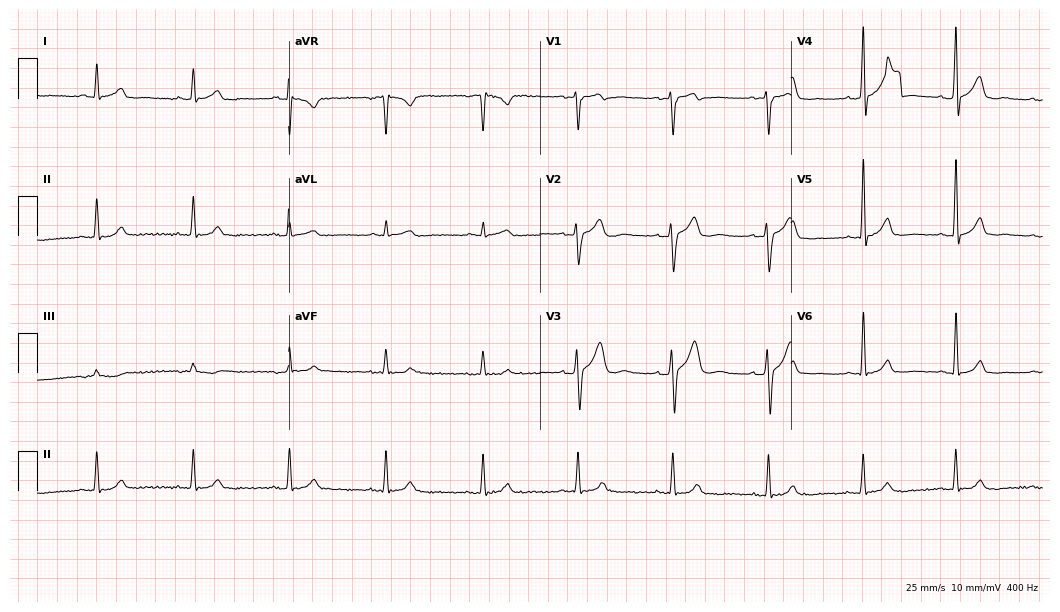
Resting 12-lead electrocardiogram (10.2-second recording at 400 Hz). Patient: a 36-year-old man. None of these six findings is recorded: first-degree AV block, right bundle branch block (RBBB), left bundle branch block (LBBB), sinus bradycardia, atrial fibrillation (AF), sinus tachycardia.